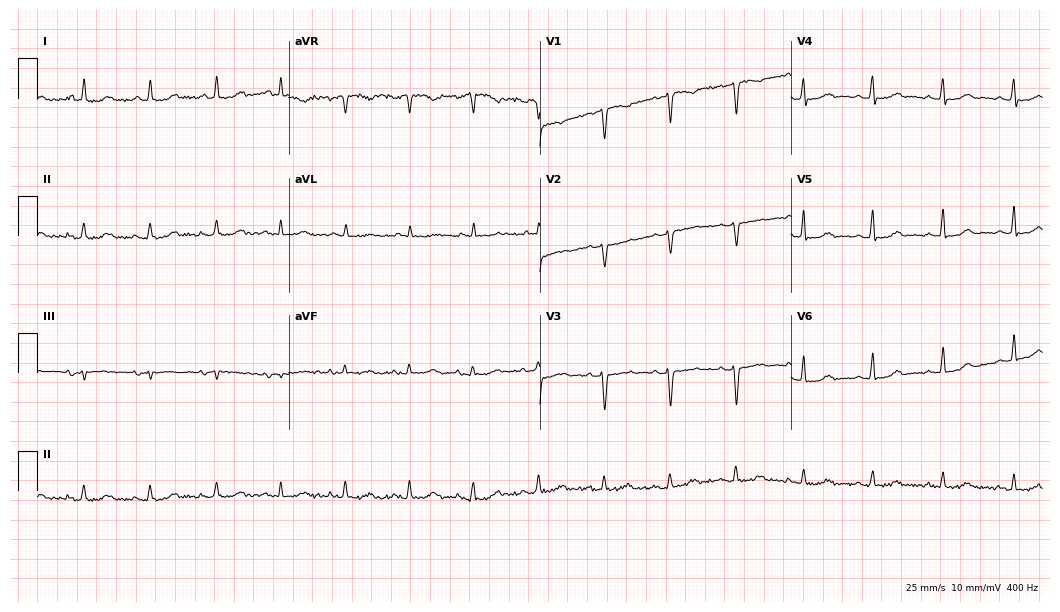
Standard 12-lead ECG recorded from a 39-year-old female (10.2-second recording at 400 Hz). None of these six findings is recorded: first-degree AV block, right bundle branch block, left bundle branch block, sinus bradycardia, atrial fibrillation, sinus tachycardia. Other findings, if any, are not listed.